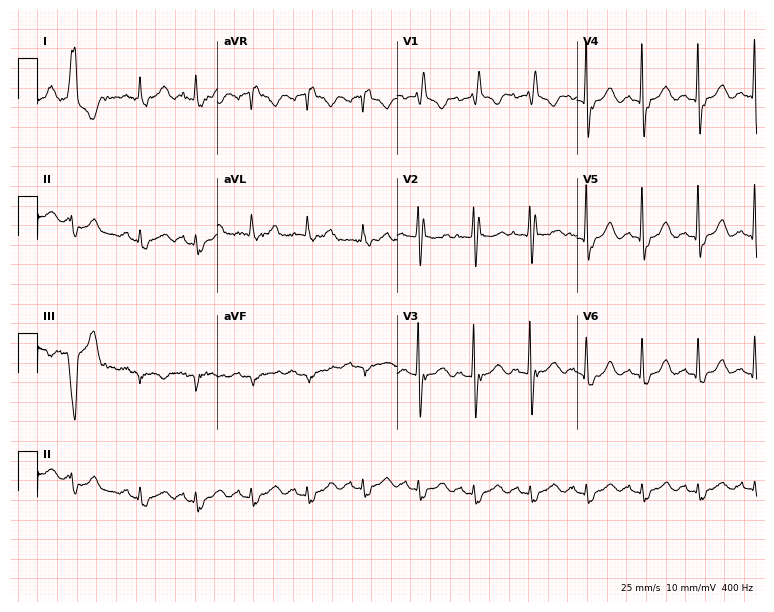
Electrocardiogram, a 78-year-old female. Interpretation includes right bundle branch block, sinus tachycardia (a sinus rate of 100 beats per minute or more).